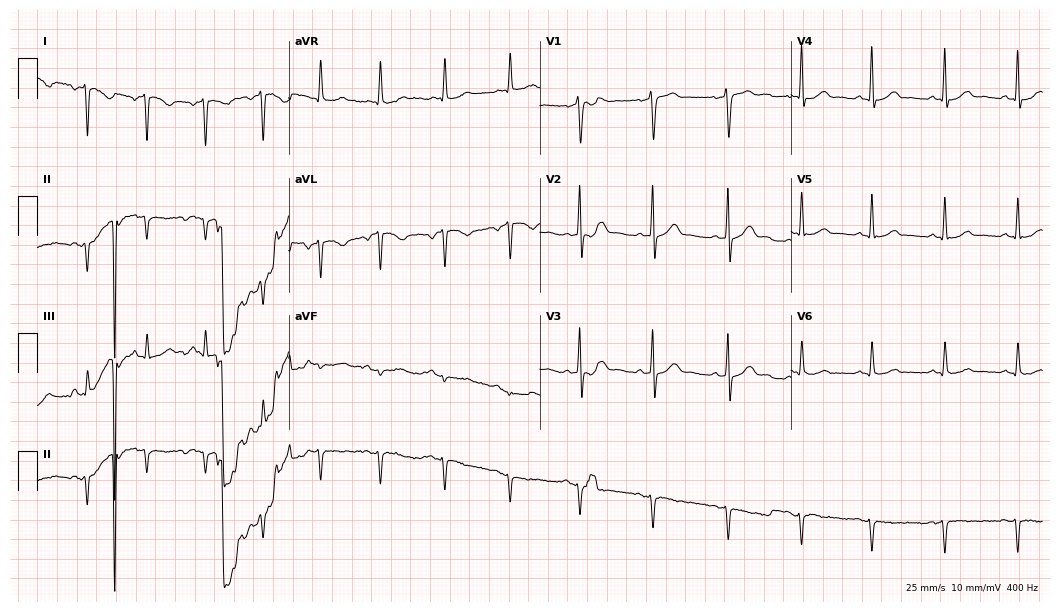
Electrocardiogram (10.2-second recording at 400 Hz), a male patient, 58 years old. Of the six screened findings (first-degree AV block, right bundle branch block, left bundle branch block, sinus bradycardia, atrial fibrillation, sinus tachycardia), none is recorded. Only these six findings were labelled.